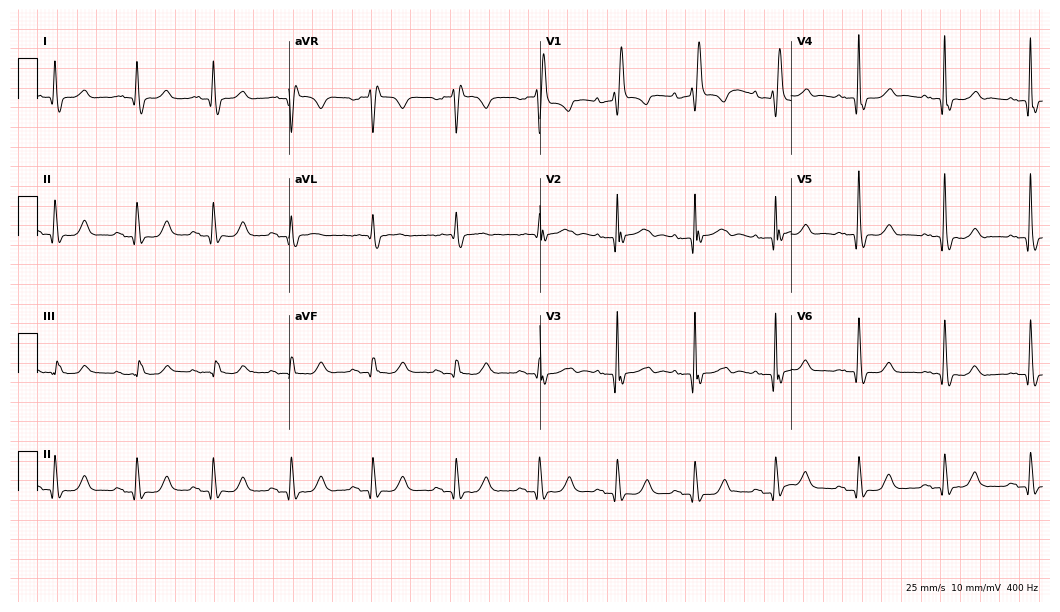
Electrocardiogram, a 75-year-old male. Interpretation includes right bundle branch block.